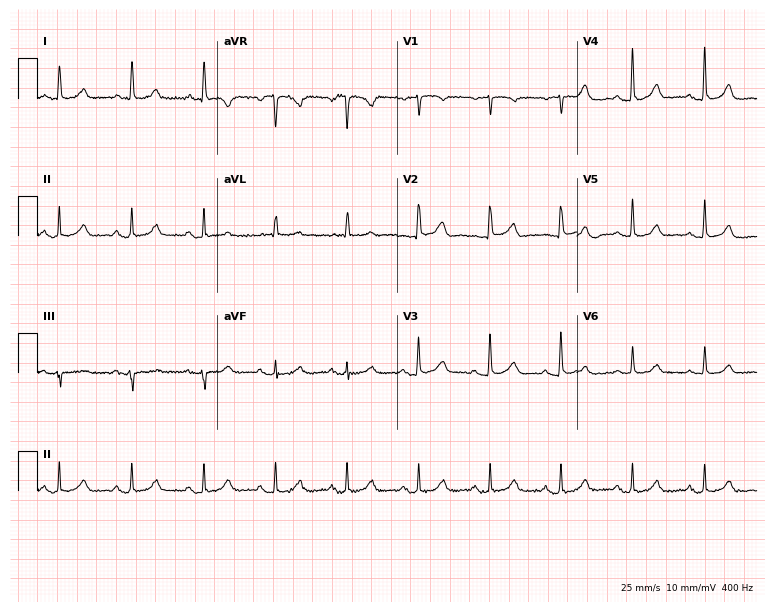
Electrocardiogram (7.3-second recording at 400 Hz), a 77-year-old female patient. Overall reading on record: normal ECG.